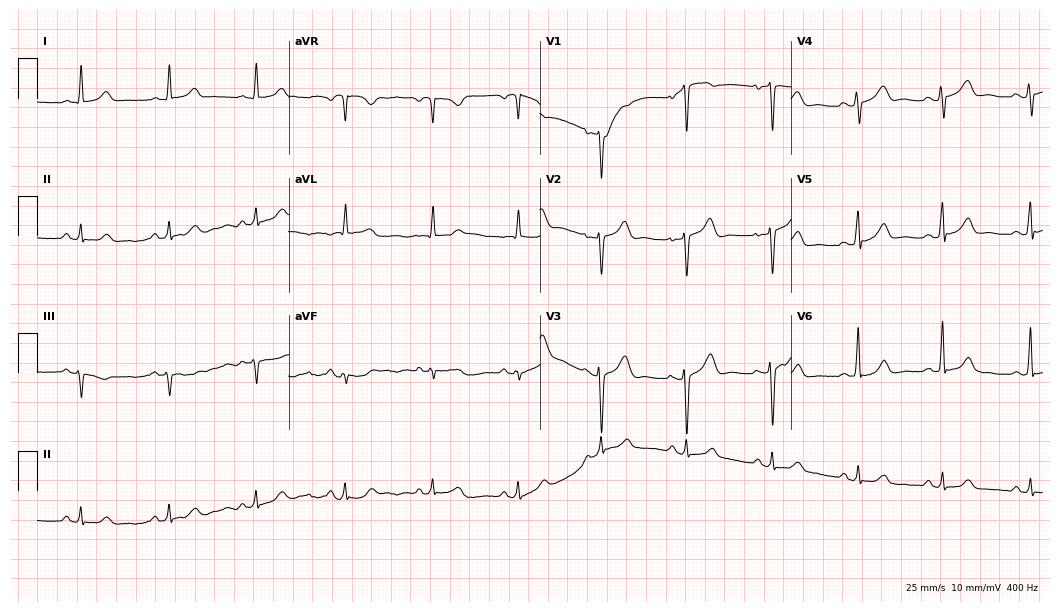
Standard 12-lead ECG recorded from a 41-year-old man (10.2-second recording at 400 Hz). Read as a normal ECG.